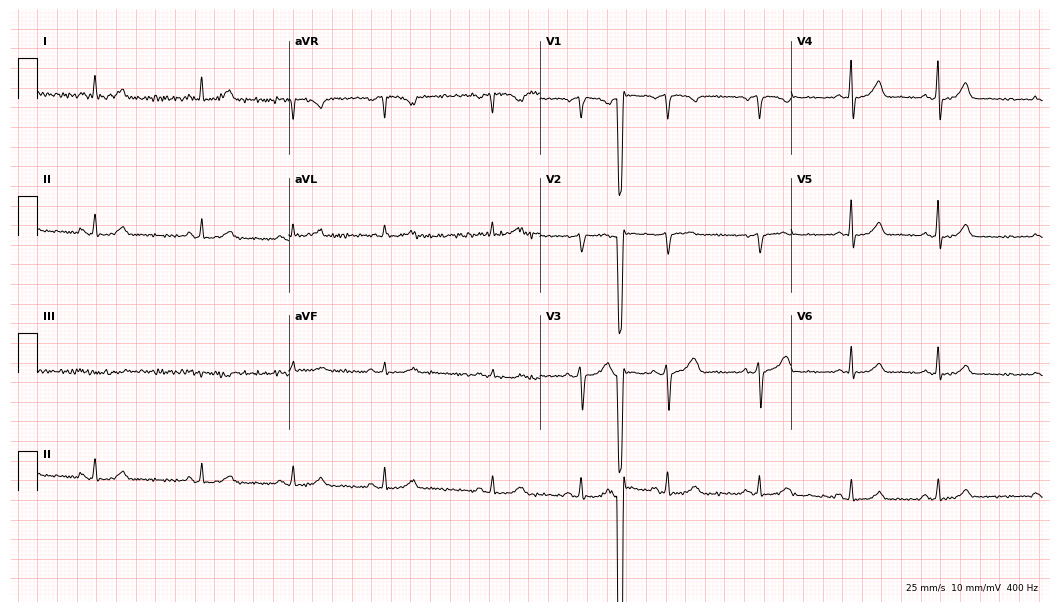
12-lead ECG from a female, 37 years old. Labelled as a normal ECG.